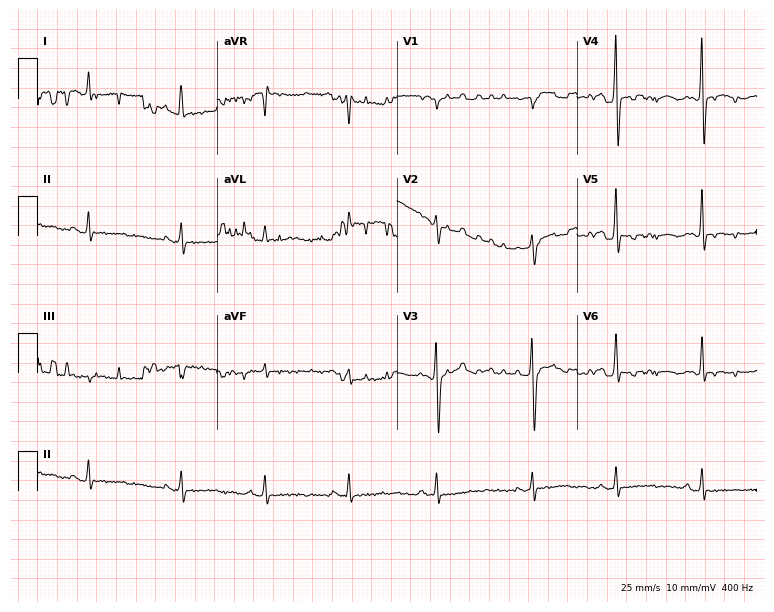
Electrocardiogram (7.3-second recording at 400 Hz), a 64-year-old female patient. Of the six screened findings (first-degree AV block, right bundle branch block (RBBB), left bundle branch block (LBBB), sinus bradycardia, atrial fibrillation (AF), sinus tachycardia), none is recorded. Other findings, if any, are not listed.